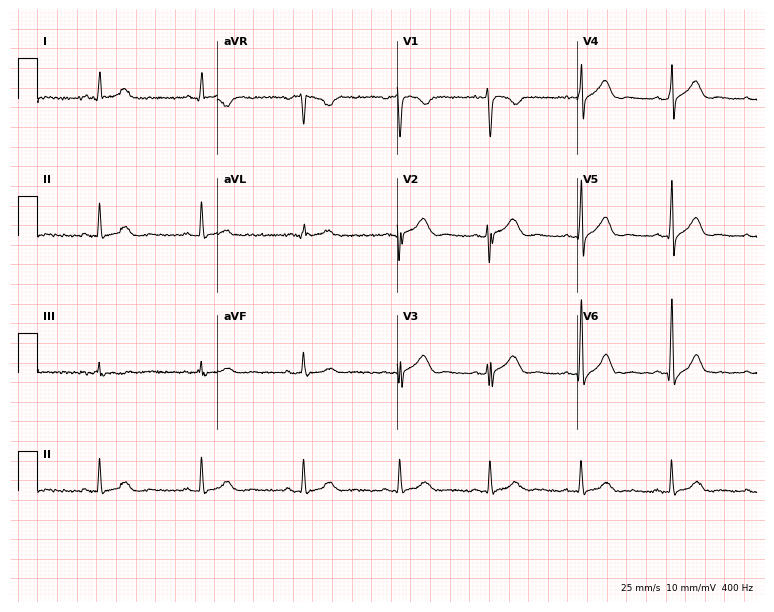
12-lead ECG from a male patient, 39 years old (7.3-second recording at 400 Hz). Recorded interpretation: within normal limits.